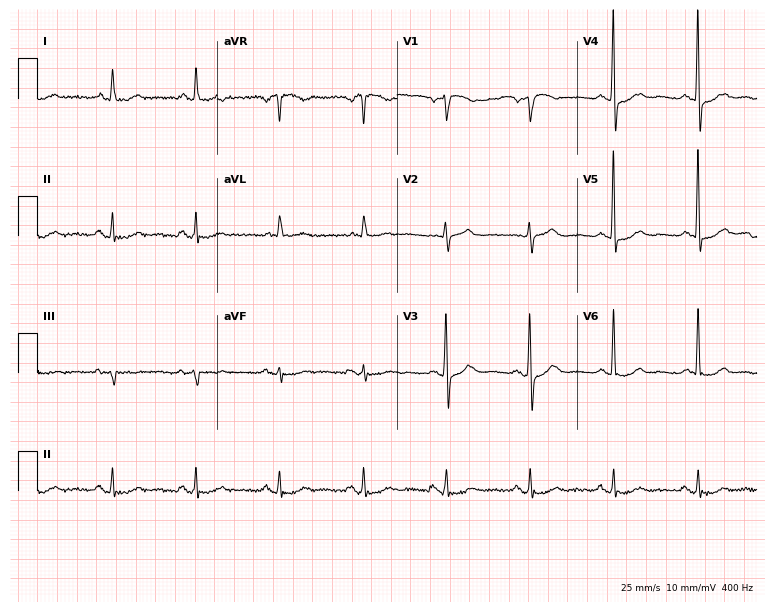
Electrocardiogram (7.3-second recording at 400 Hz), a female, 80 years old. Of the six screened findings (first-degree AV block, right bundle branch block, left bundle branch block, sinus bradycardia, atrial fibrillation, sinus tachycardia), none is recorded.